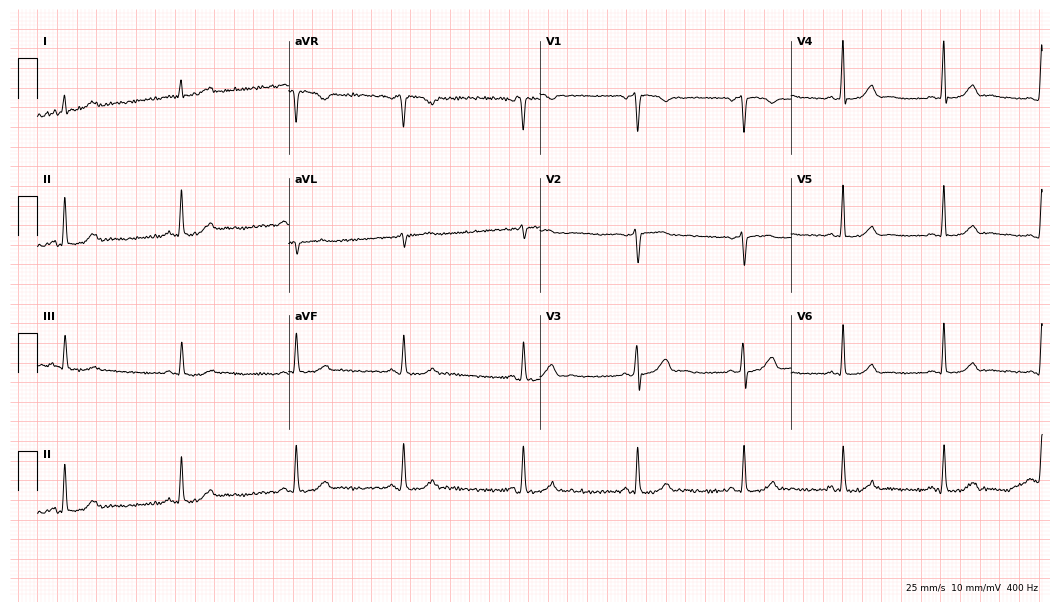
12-lead ECG from a 30-year-old female. Recorded interpretation: within normal limits.